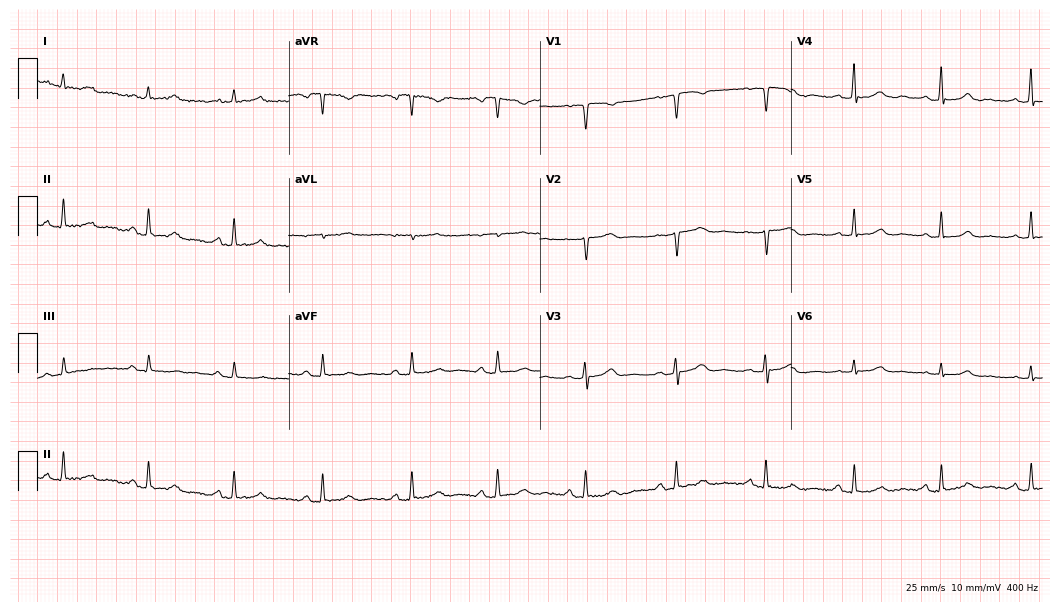
Resting 12-lead electrocardiogram (10.2-second recording at 400 Hz). Patient: a female, 48 years old. None of these six findings is recorded: first-degree AV block, right bundle branch block, left bundle branch block, sinus bradycardia, atrial fibrillation, sinus tachycardia.